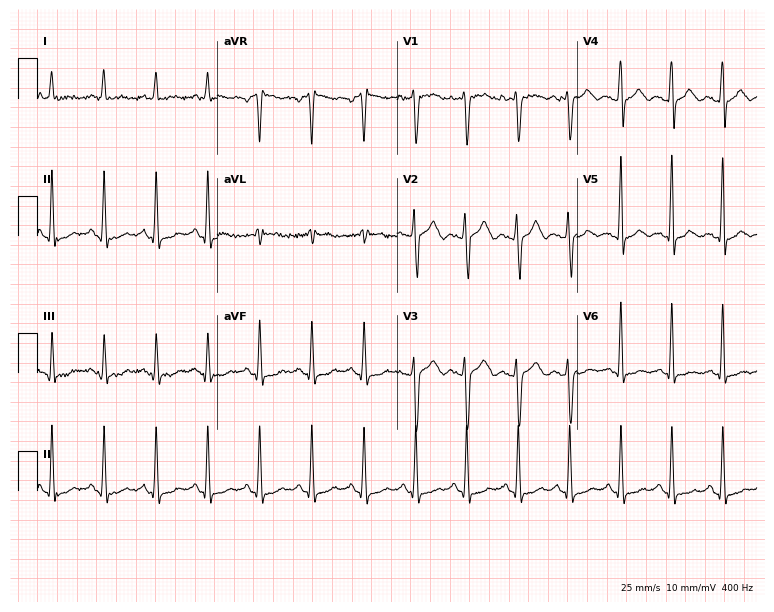
Electrocardiogram (7.3-second recording at 400 Hz), a 23-year-old female. Interpretation includes sinus tachycardia (a sinus rate of 100 beats per minute or more).